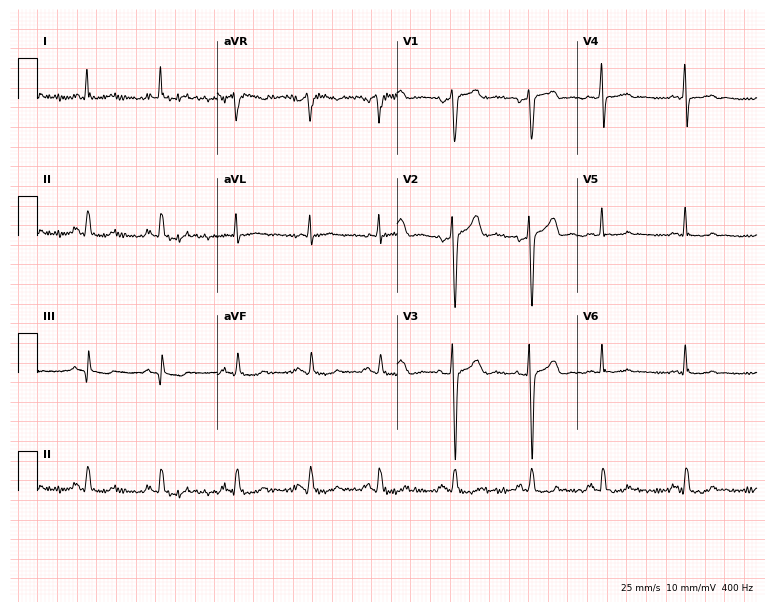
Standard 12-lead ECG recorded from a man, 38 years old (7.3-second recording at 400 Hz). None of these six findings is recorded: first-degree AV block, right bundle branch block, left bundle branch block, sinus bradycardia, atrial fibrillation, sinus tachycardia.